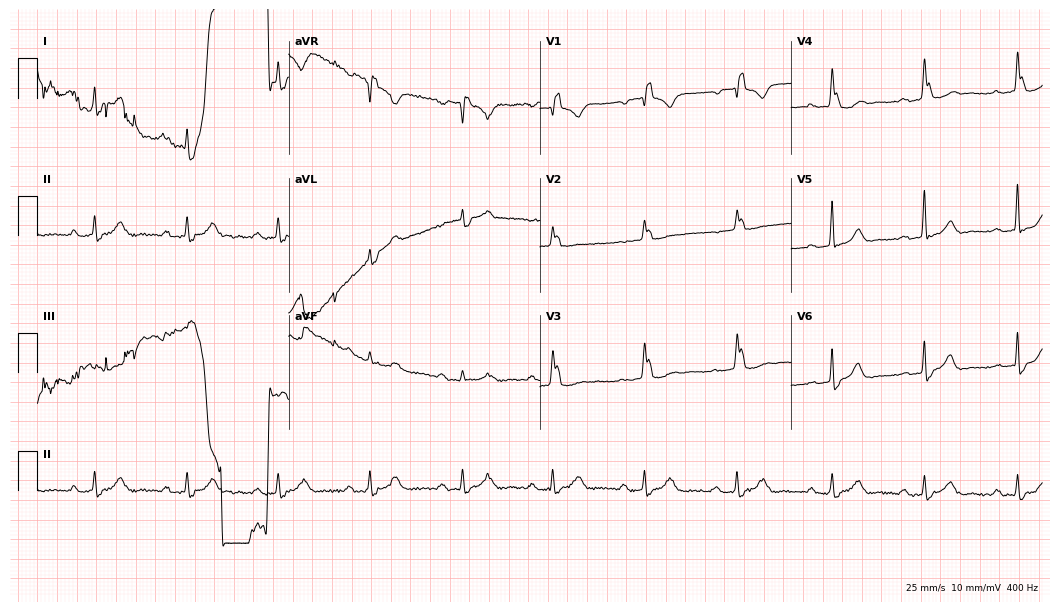
12-lead ECG from a male patient, 86 years old. Findings include right bundle branch block, atrial fibrillation.